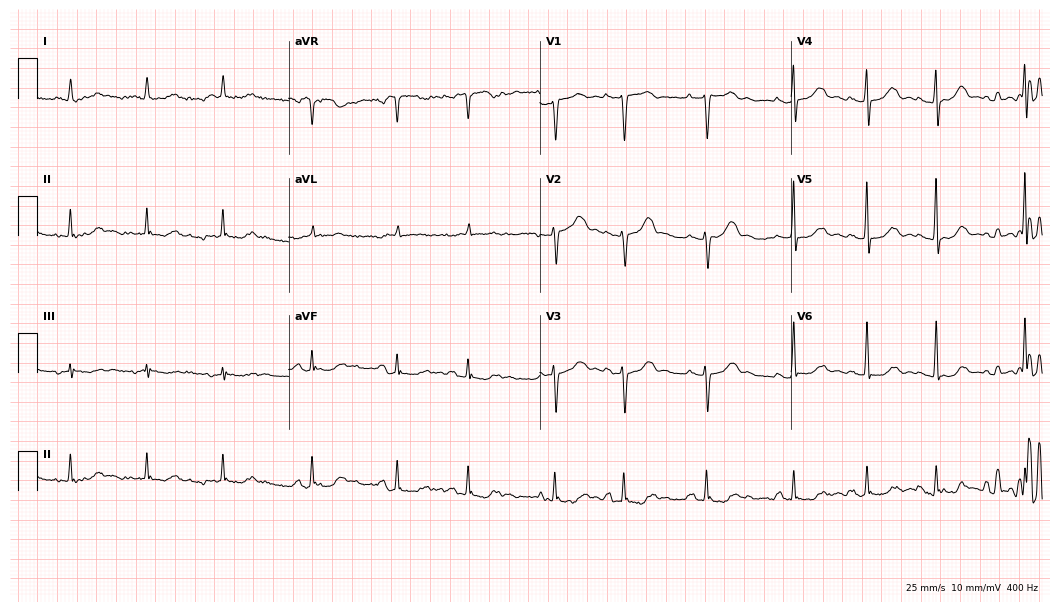
Resting 12-lead electrocardiogram. Patient: a 78-year-old female. None of these six findings is recorded: first-degree AV block, right bundle branch block, left bundle branch block, sinus bradycardia, atrial fibrillation, sinus tachycardia.